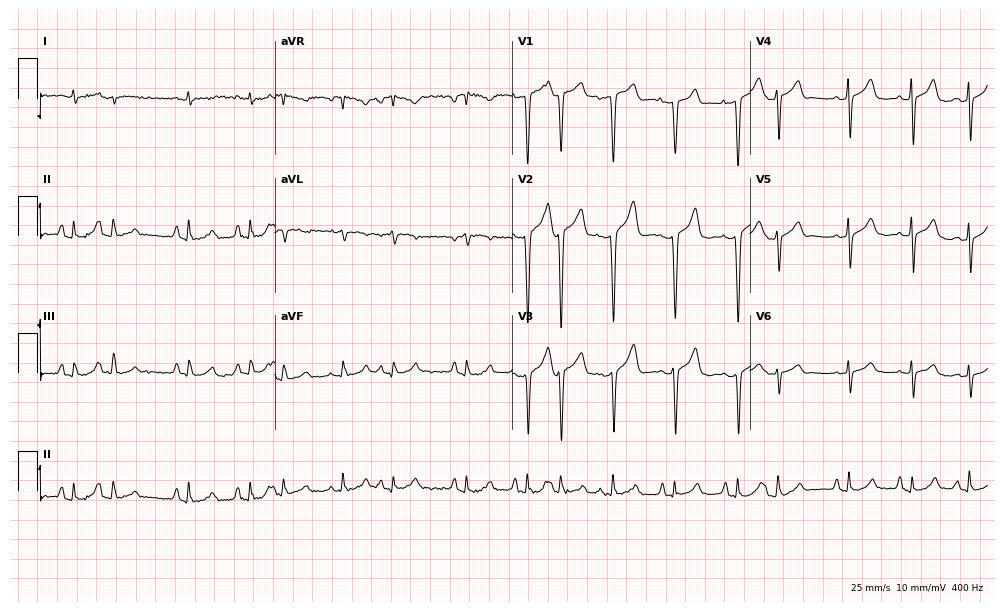
12-lead ECG from a female patient, 79 years old. Shows sinus tachycardia (a sinus rate of 100 beats per minute or more).